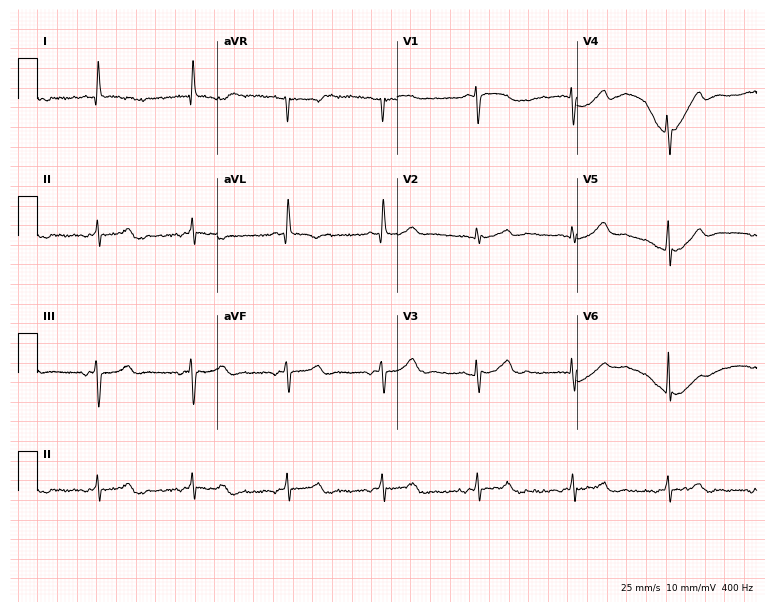
Resting 12-lead electrocardiogram. Patient: a 48-year-old woman. None of these six findings is recorded: first-degree AV block, right bundle branch block (RBBB), left bundle branch block (LBBB), sinus bradycardia, atrial fibrillation (AF), sinus tachycardia. Only these six findings were labelled.